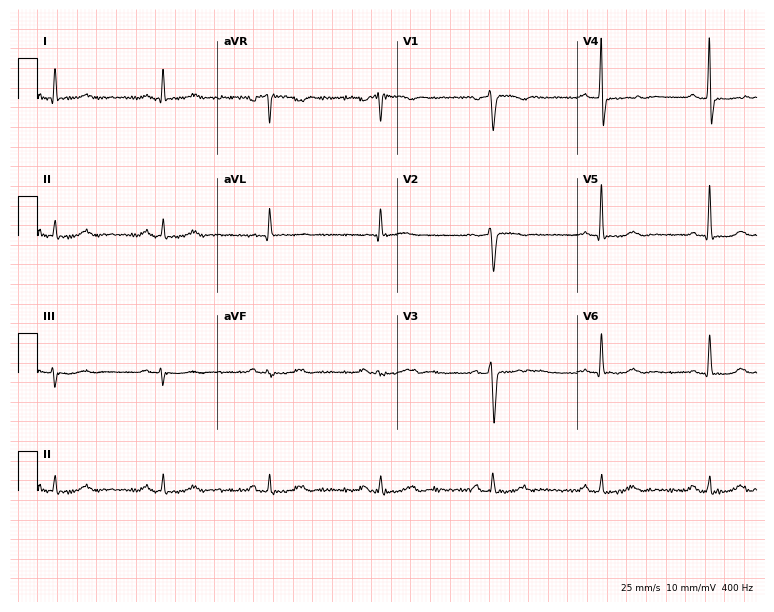
Resting 12-lead electrocardiogram. Patient: a 70-year-old male. None of these six findings is recorded: first-degree AV block, right bundle branch block (RBBB), left bundle branch block (LBBB), sinus bradycardia, atrial fibrillation (AF), sinus tachycardia.